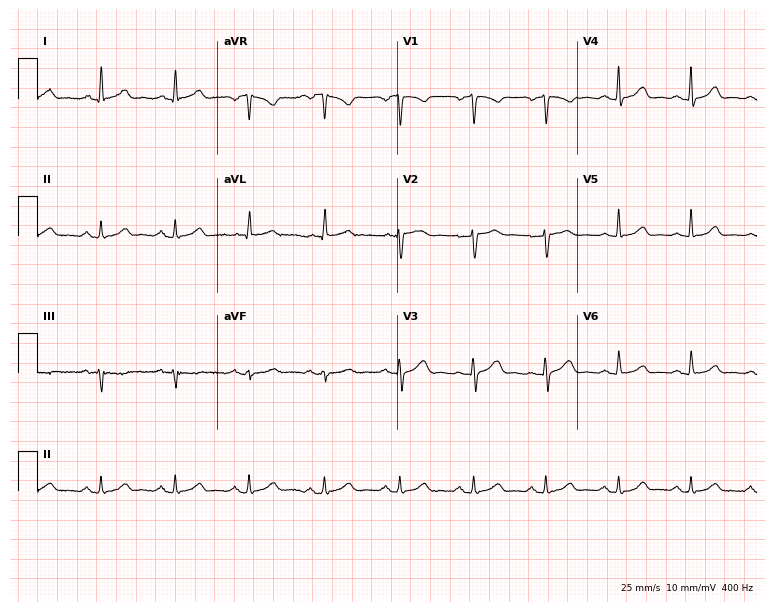
12-lead ECG from a female patient, 56 years old (7.3-second recording at 400 Hz). Recorded interpretation: within normal limits.